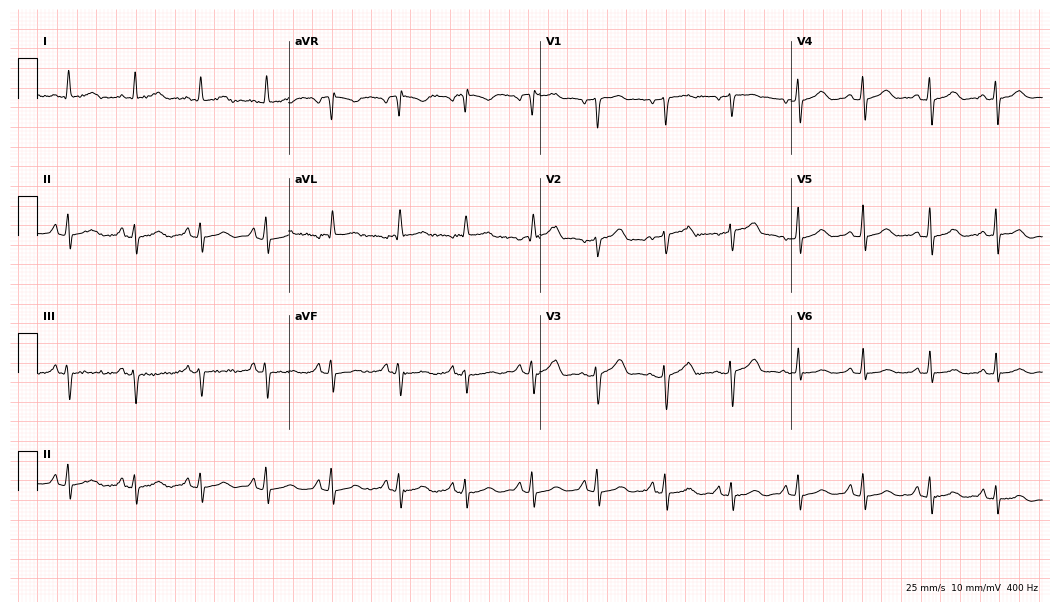
ECG — a female patient, 44 years old. Screened for six findings — first-degree AV block, right bundle branch block, left bundle branch block, sinus bradycardia, atrial fibrillation, sinus tachycardia — none is recorded.